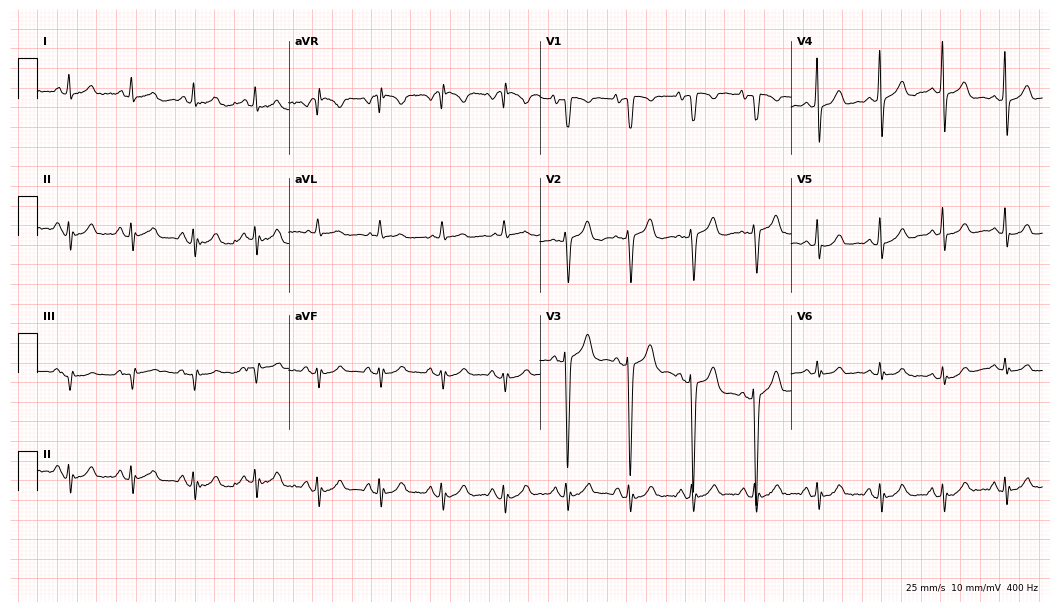
12-lead ECG from an 85-year-old male patient. Screened for six findings — first-degree AV block, right bundle branch block, left bundle branch block, sinus bradycardia, atrial fibrillation, sinus tachycardia — none is recorded. Only these six findings were labelled.